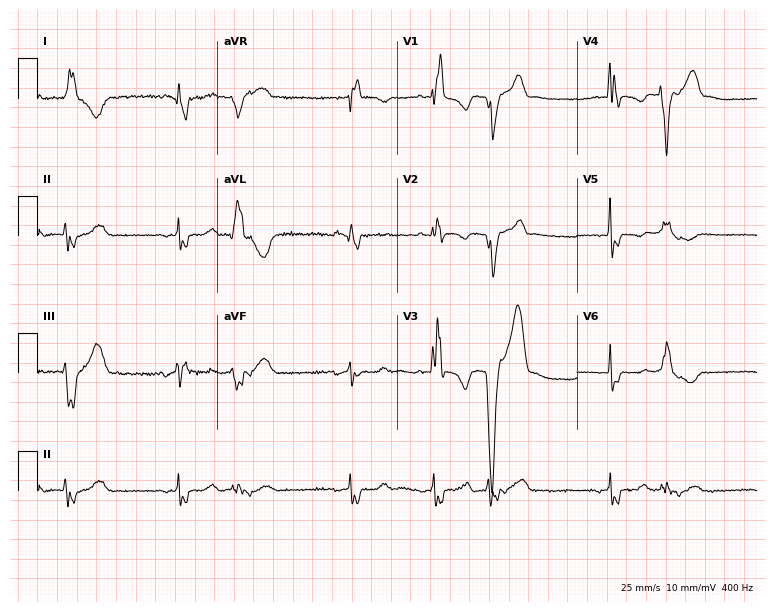
Standard 12-lead ECG recorded from a 64-year-old female (7.3-second recording at 400 Hz). The tracing shows right bundle branch block.